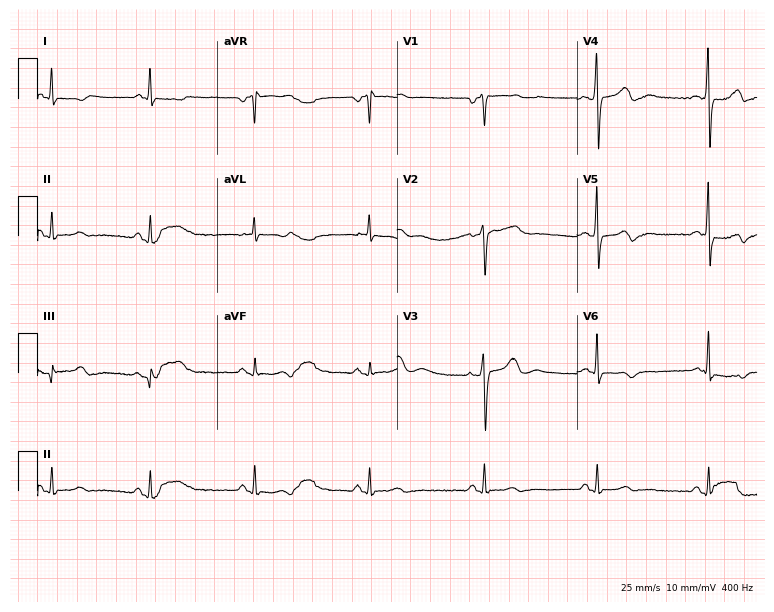
Resting 12-lead electrocardiogram. Patient: a 65-year-old male. Read as a normal ECG.